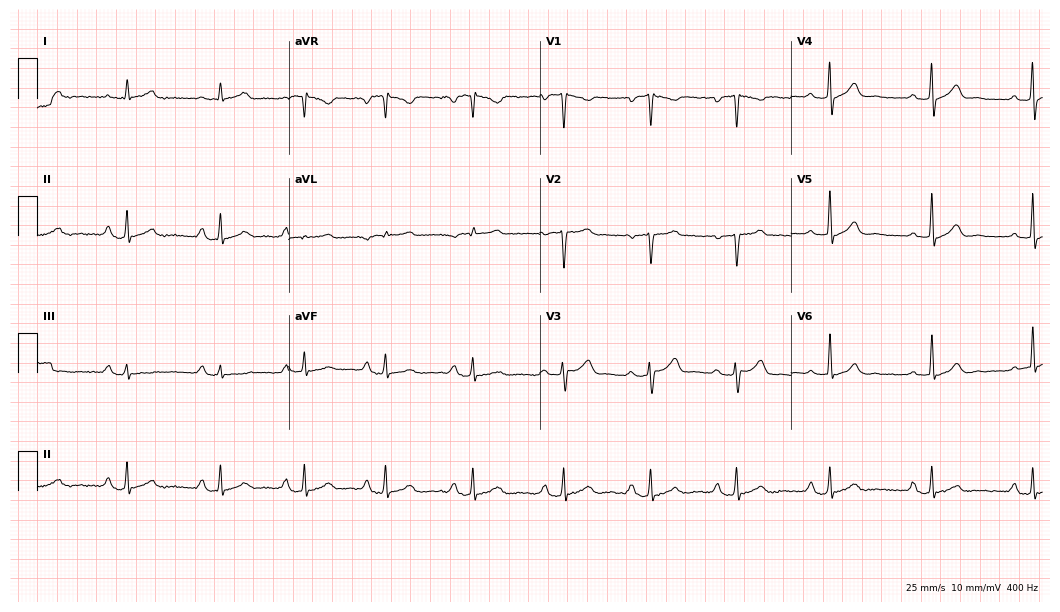
Standard 12-lead ECG recorded from a 35-year-old female. The tracing shows first-degree AV block.